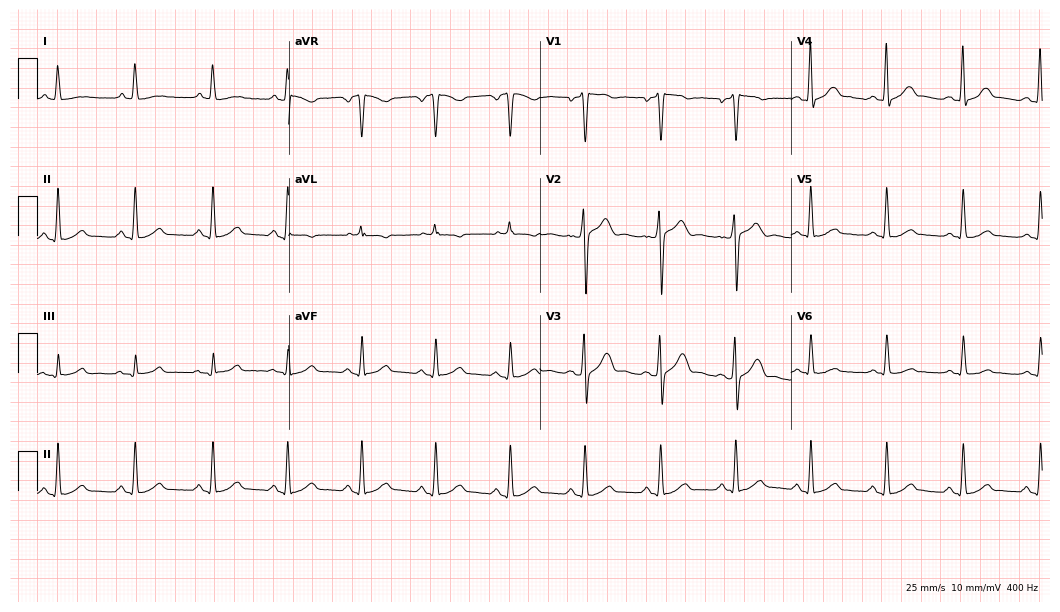
ECG (10.2-second recording at 400 Hz) — a 49-year-old male patient. Labelled as a normal ECG.